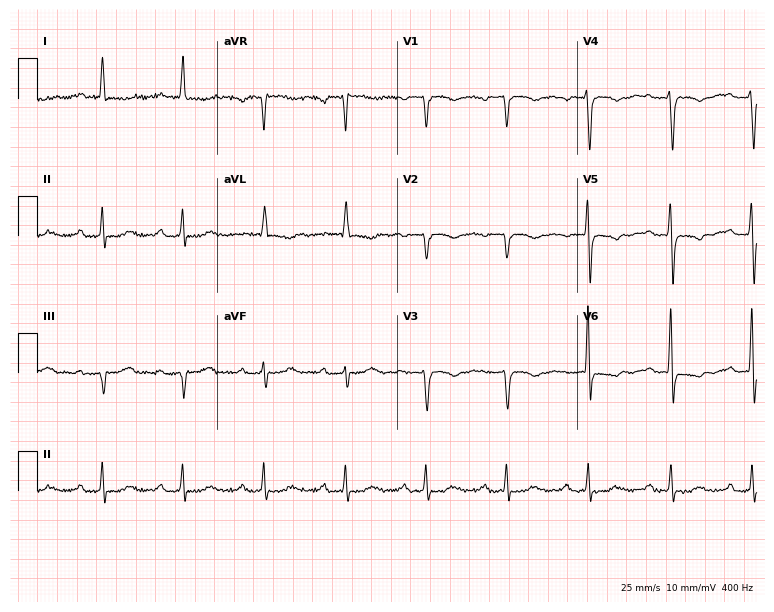
Electrocardiogram, a woman, 84 years old. Interpretation includes first-degree AV block.